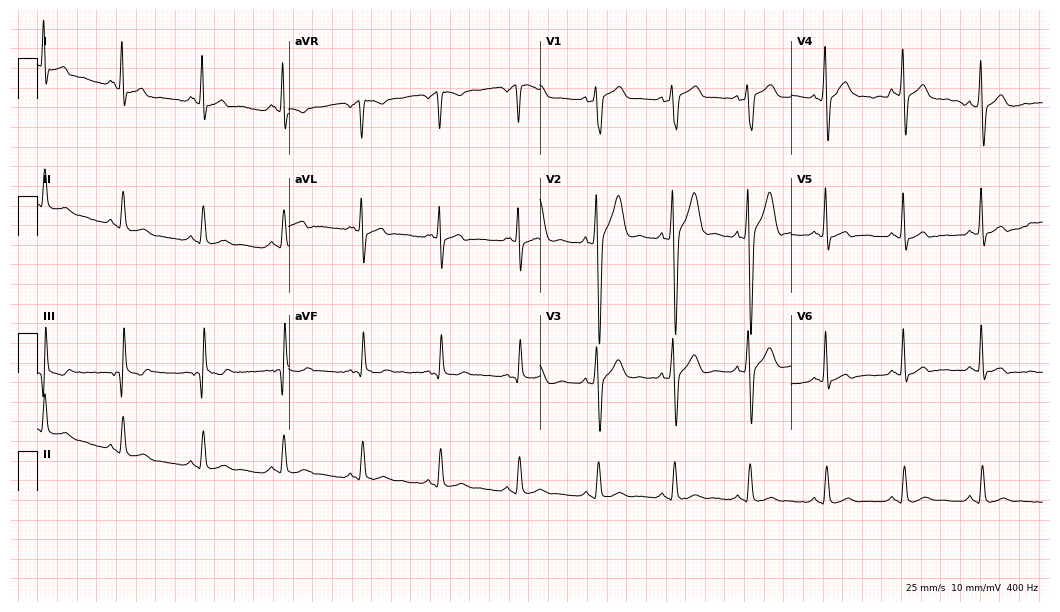
ECG (10.2-second recording at 400 Hz) — a 36-year-old female. Screened for six findings — first-degree AV block, right bundle branch block (RBBB), left bundle branch block (LBBB), sinus bradycardia, atrial fibrillation (AF), sinus tachycardia — none is recorded.